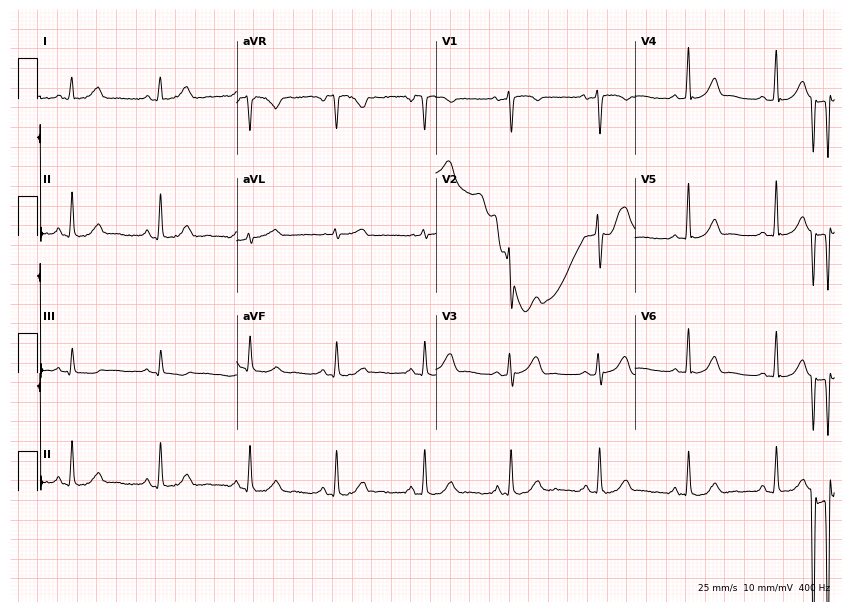
Standard 12-lead ECG recorded from a 39-year-old female (8.1-second recording at 400 Hz). Read as a normal ECG.